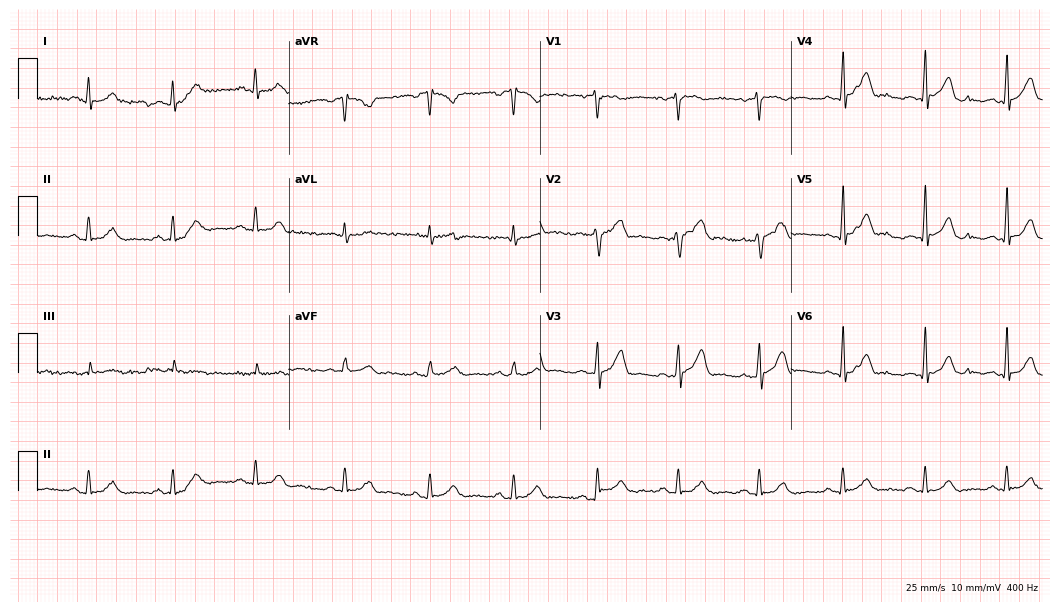
ECG (10.2-second recording at 400 Hz) — a 45-year-old man. Screened for six findings — first-degree AV block, right bundle branch block, left bundle branch block, sinus bradycardia, atrial fibrillation, sinus tachycardia — none is recorded. Only these six findings were labelled.